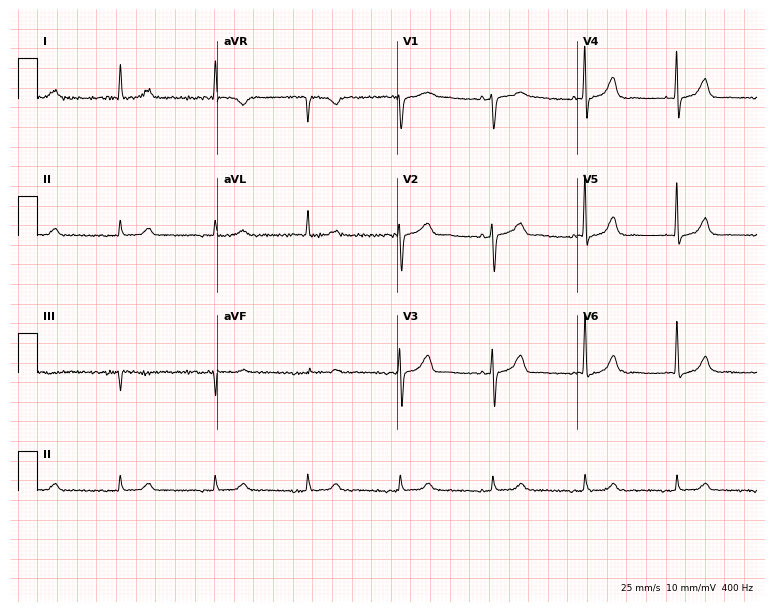
Electrocardiogram (7.3-second recording at 400 Hz), an 83-year-old female patient. Of the six screened findings (first-degree AV block, right bundle branch block, left bundle branch block, sinus bradycardia, atrial fibrillation, sinus tachycardia), none is recorded.